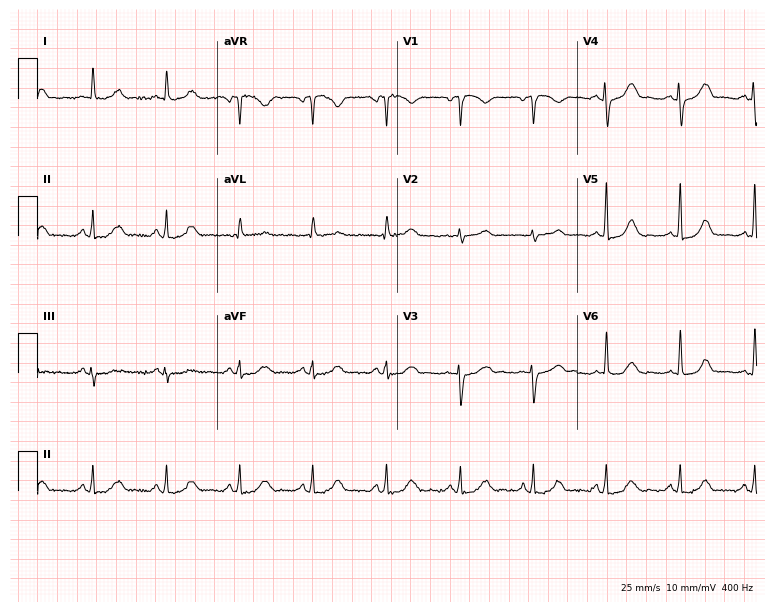
12-lead ECG from a 54-year-old female patient. Recorded interpretation: within normal limits.